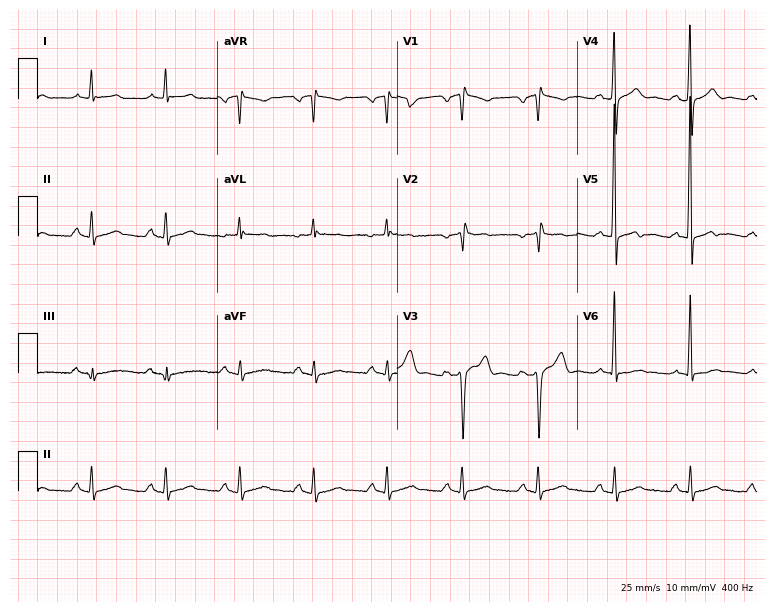
Electrocardiogram (7.3-second recording at 400 Hz), a male, 61 years old. Of the six screened findings (first-degree AV block, right bundle branch block (RBBB), left bundle branch block (LBBB), sinus bradycardia, atrial fibrillation (AF), sinus tachycardia), none is recorded. Other findings, if any, are not listed.